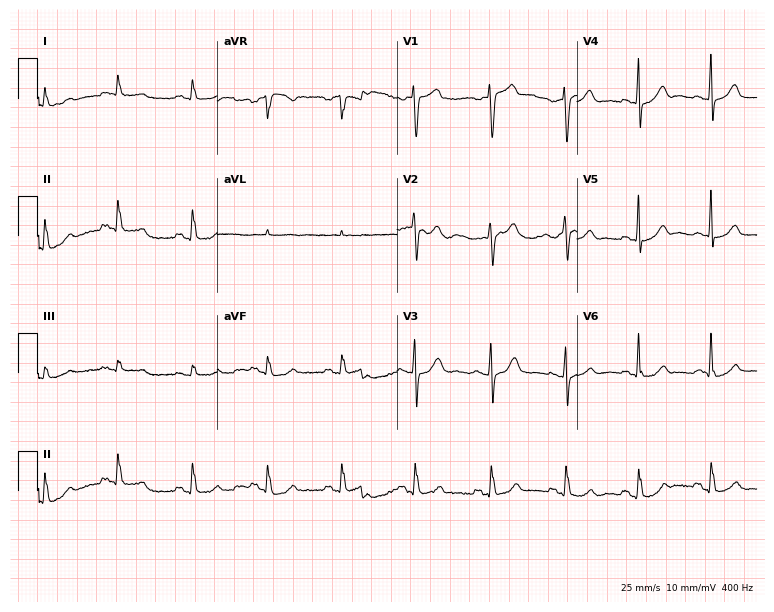
ECG — a 61-year-old female. Screened for six findings — first-degree AV block, right bundle branch block, left bundle branch block, sinus bradycardia, atrial fibrillation, sinus tachycardia — none is recorded.